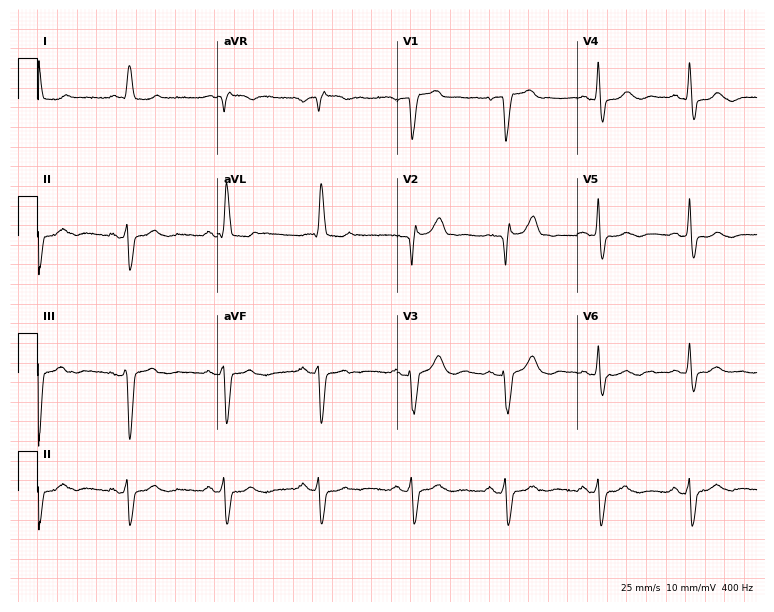
12-lead ECG from a 75-year-old man (7.3-second recording at 400 Hz). Shows left bundle branch block.